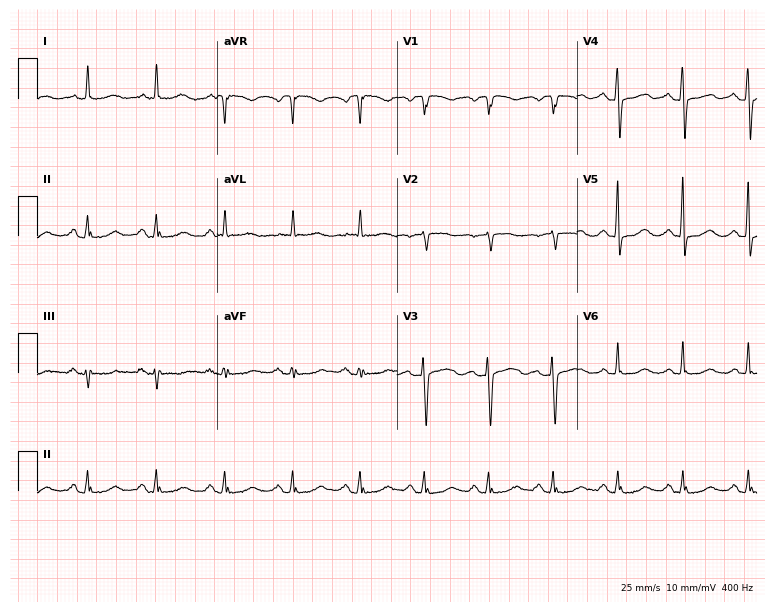
12-lead ECG (7.3-second recording at 400 Hz) from an 83-year-old female patient. Labelled as a normal ECG.